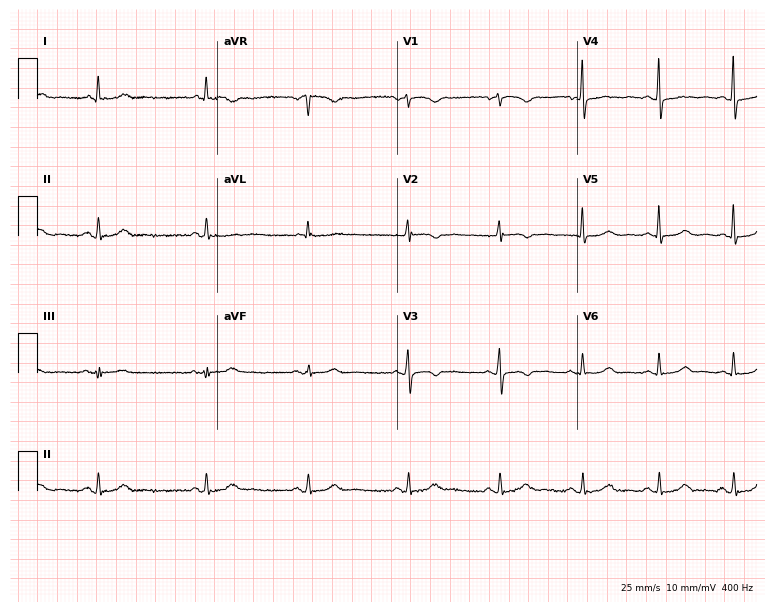
12-lead ECG from a 61-year-old female patient. Recorded interpretation: within normal limits.